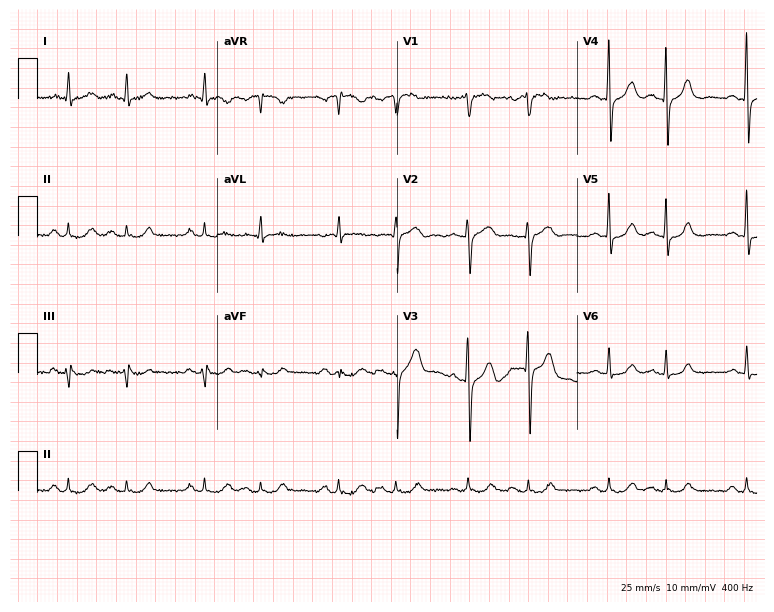
Electrocardiogram (7.3-second recording at 400 Hz), an 81-year-old male patient. Of the six screened findings (first-degree AV block, right bundle branch block (RBBB), left bundle branch block (LBBB), sinus bradycardia, atrial fibrillation (AF), sinus tachycardia), none is recorded. Other findings, if any, are not listed.